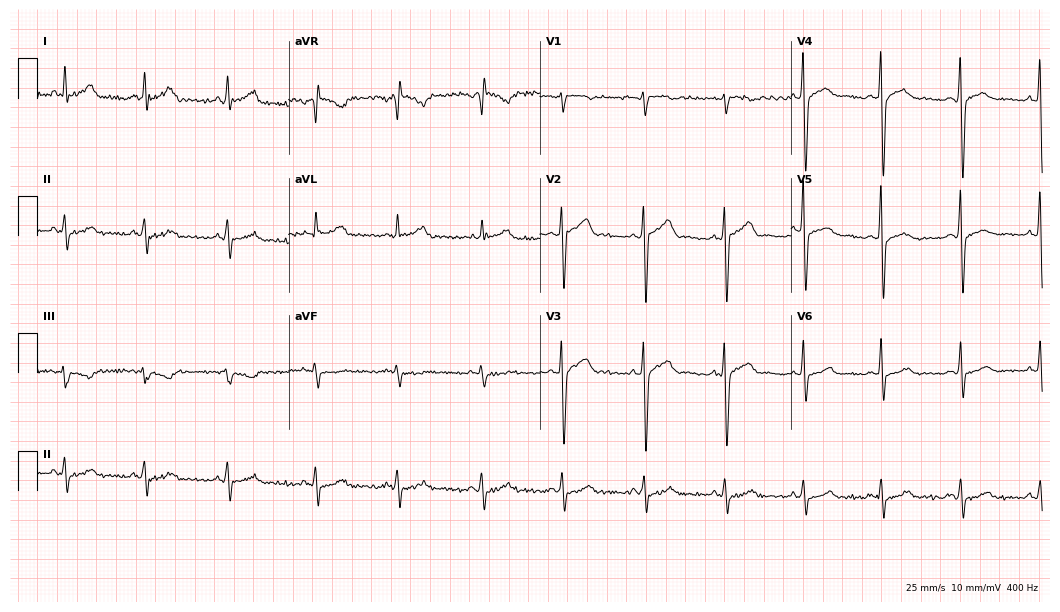
12-lead ECG from a man, 38 years old (10.2-second recording at 400 Hz). Recorded interpretation: within normal limits.